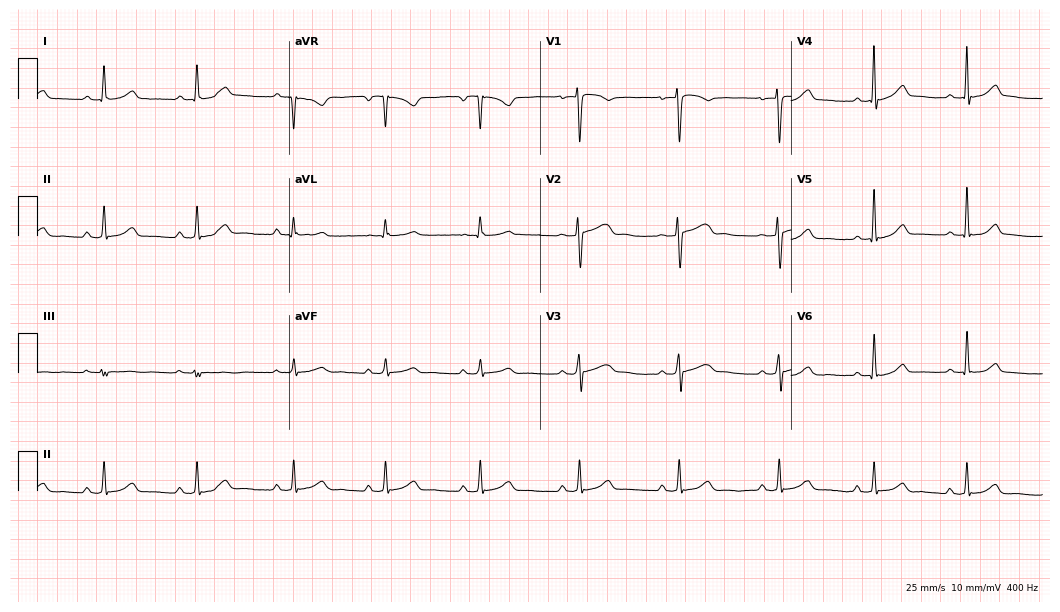
12-lead ECG (10.2-second recording at 400 Hz) from a female, 26 years old. Labelled as a normal ECG.